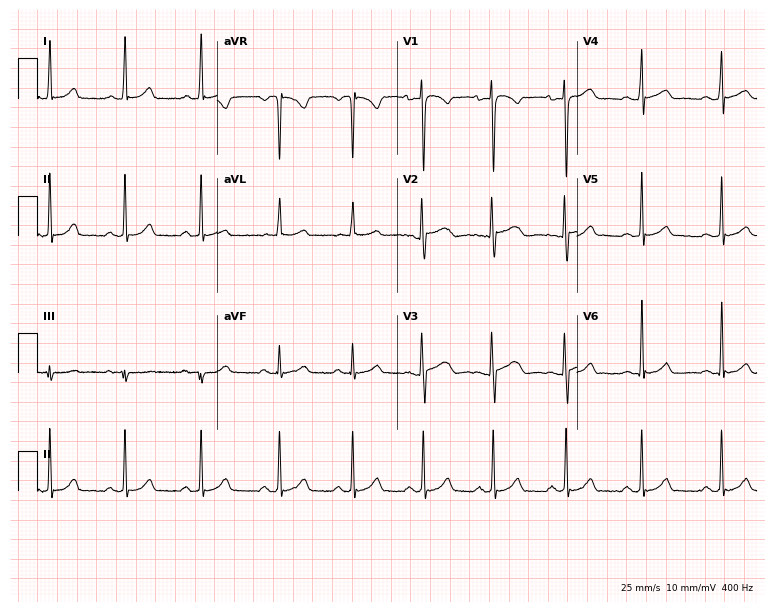
Electrocardiogram, a 33-year-old female. Of the six screened findings (first-degree AV block, right bundle branch block, left bundle branch block, sinus bradycardia, atrial fibrillation, sinus tachycardia), none is recorded. Findings outside these six are not listed.